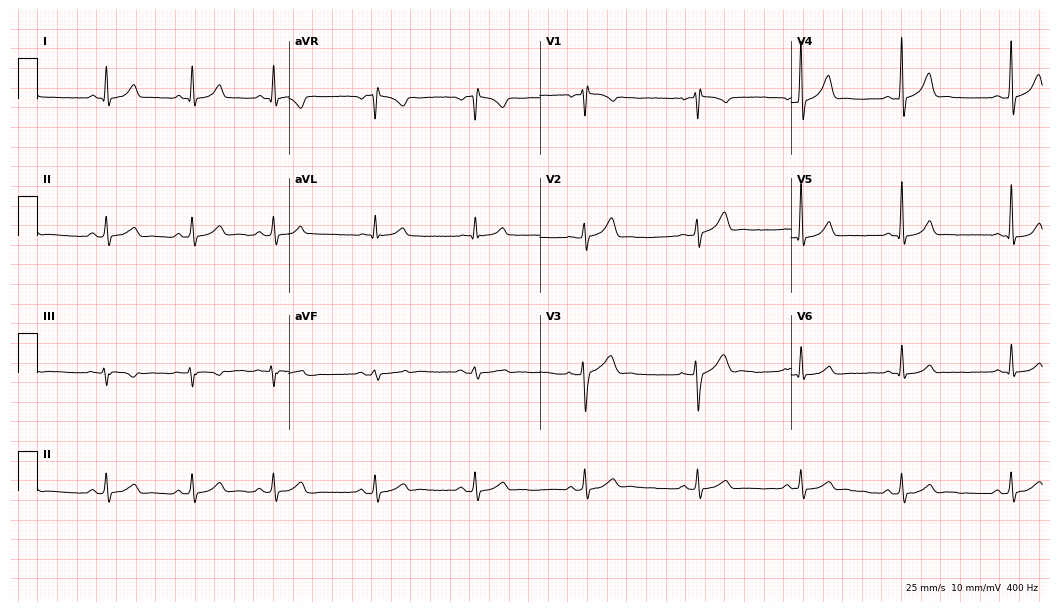
12-lead ECG from a man, 34 years old (10.2-second recording at 400 Hz). Recorded interpretation: within normal limits.